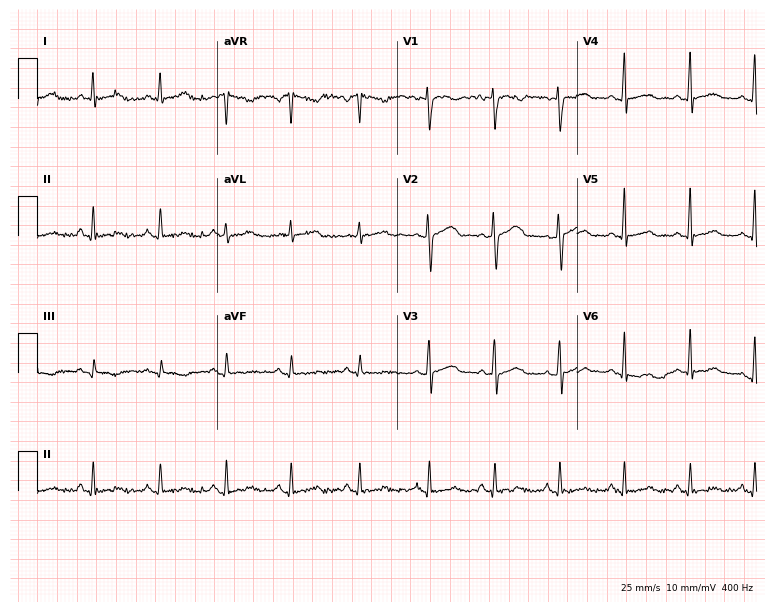
12-lead ECG from a 32-year-old female. No first-degree AV block, right bundle branch block, left bundle branch block, sinus bradycardia, atrial fibrillation or sinus tachycardia recorded for this tracing. Only these six findings were labelled.